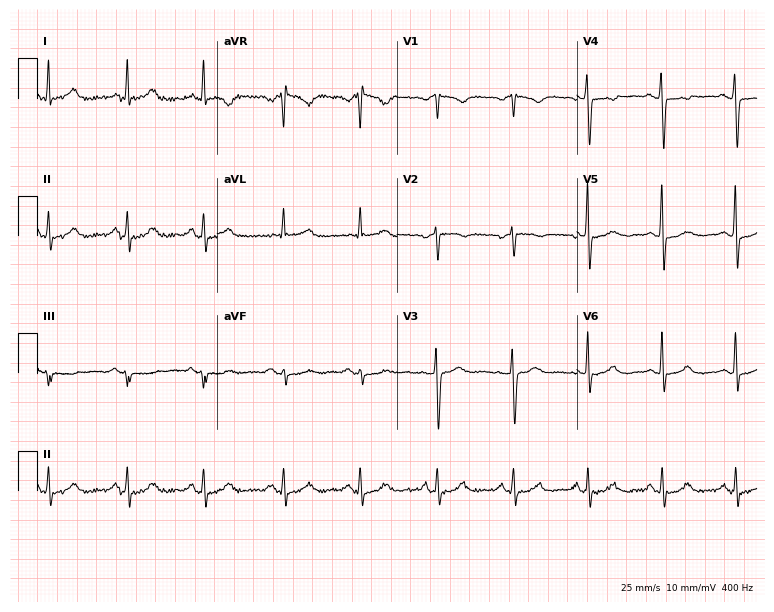
12-lead ECG (7.3-second recording at 400 Hz) from a 61-year-old woman. Labelled as a normal ECG.